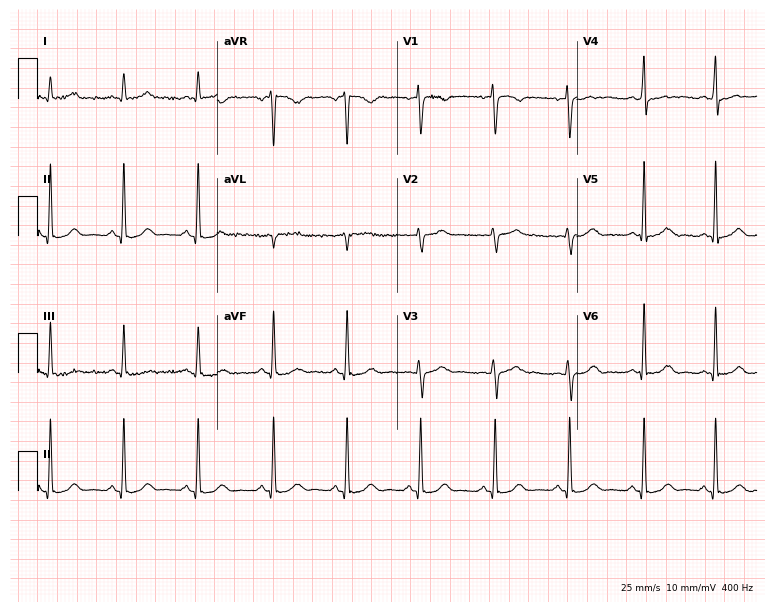
Resting 12-lead electrocardiogram (7.3-second recording at 400 Hz). Patient: a female, 64 years old. Read as a normal ECG.